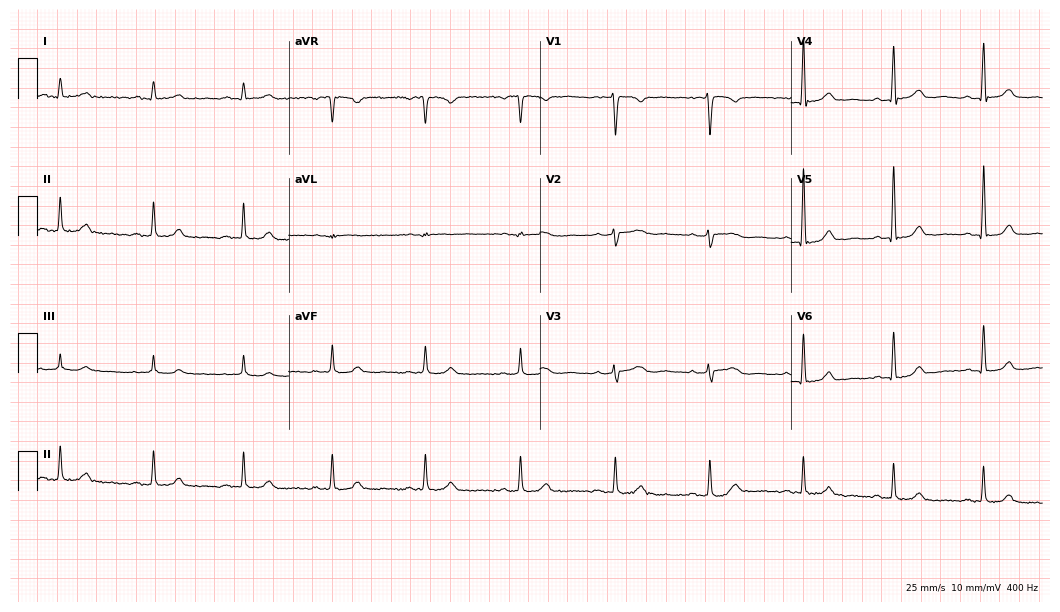
12-lead ECG from a female patient, 48 years old. Labelled as a normal ECG.